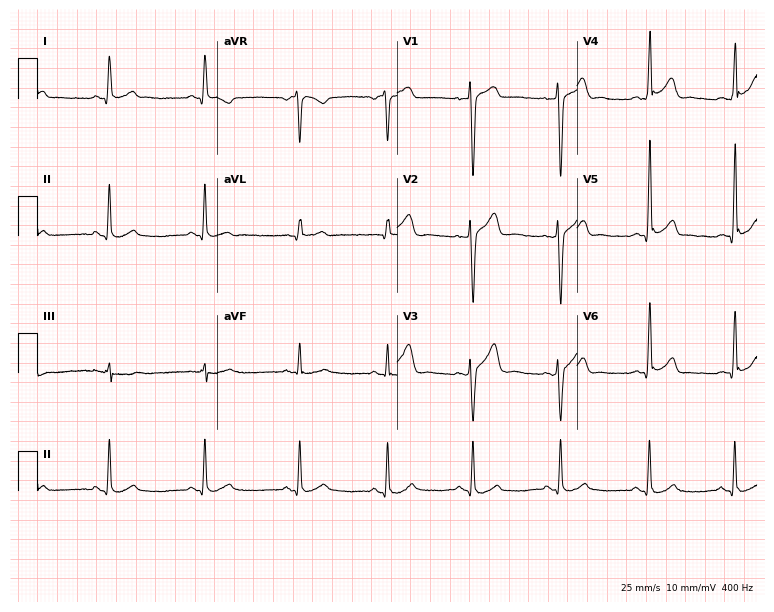
ECG (7.3-second recording at 400 Hz) — a man, 21 years old. Labelled as a normal ECG.